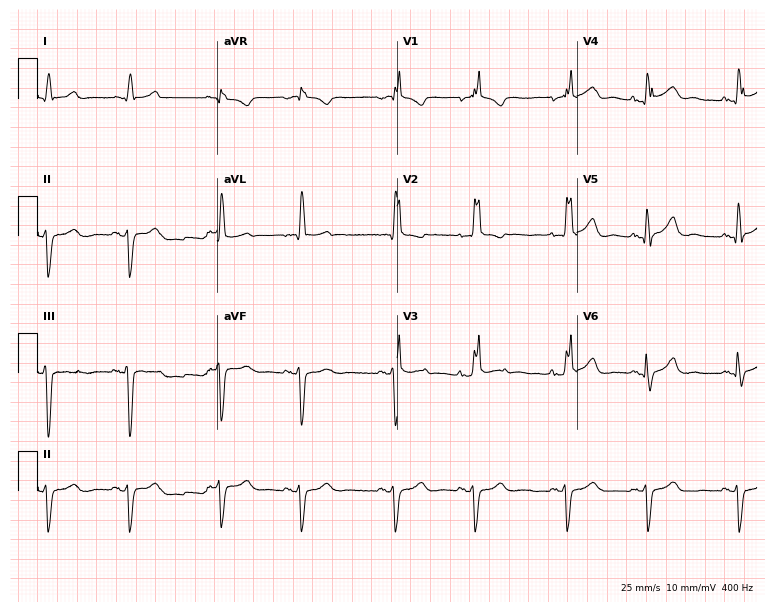
Resting 12-lead electrocardiogram (7.3-second recording at 400 Hz). Patient: an 82-year-old man. The tracing shows right bundle branch block.